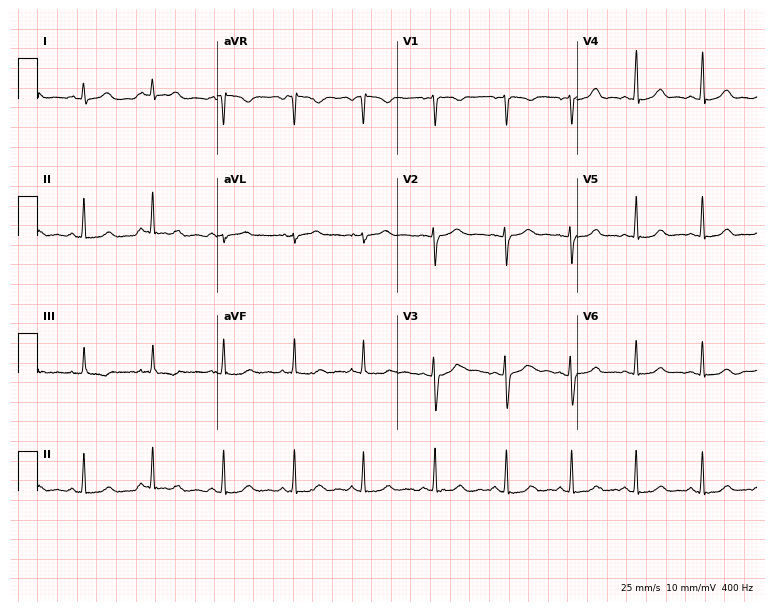
Standard 12-lead ECG recorded from a female patient, 17 years old (7.3-second recording at 400 Hz). None of these six findings is recorded: first-degree AV block, right bundle branch block, left bundle branch block, sinus bradycardia, atrial fibrillation, sinus tachycardia.